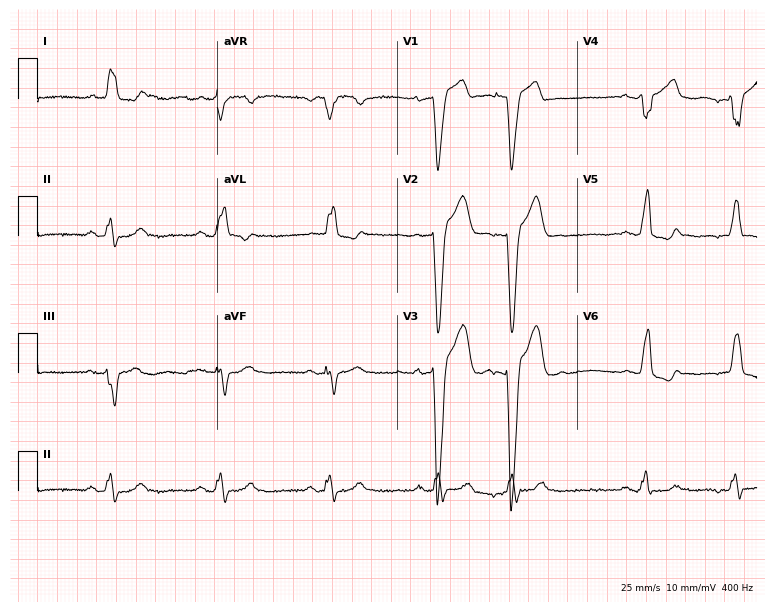
Standard 12-lead ECG recorded from a male patient, 85 years old (7.3-second recording at 400 Hz). The tracing shows left bundle branch block.